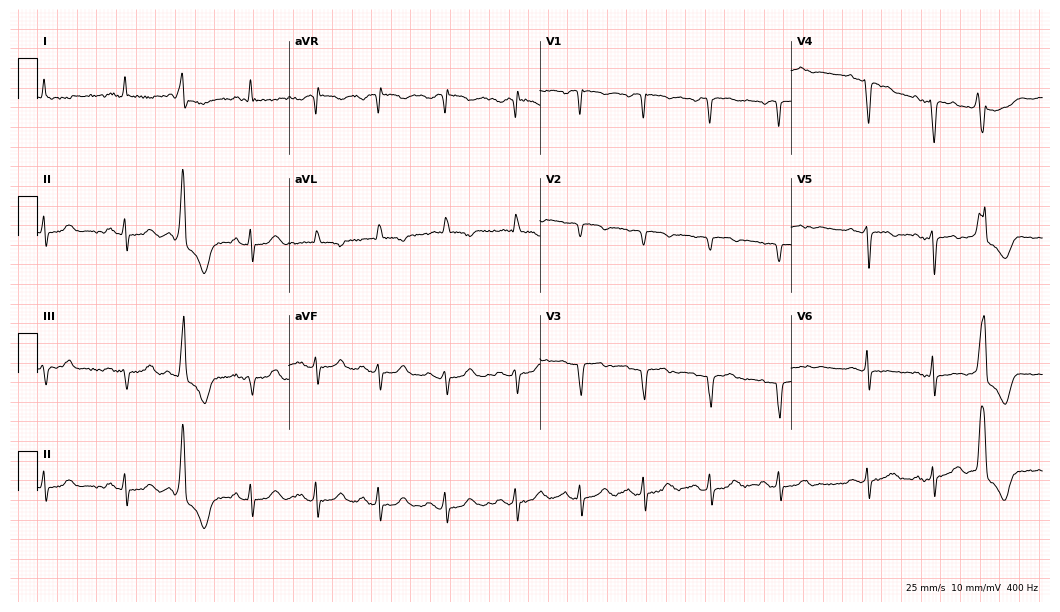
Resting 12-lead electrocardiogram. Patient: a woman, 81 years old. None of these six findings is recorded: first-degree AV block, right bundle branch block, left bundle branch block, sinus bradycardia, atrial fibrillation, sinus tachycardia. Only these six findings were labelled.